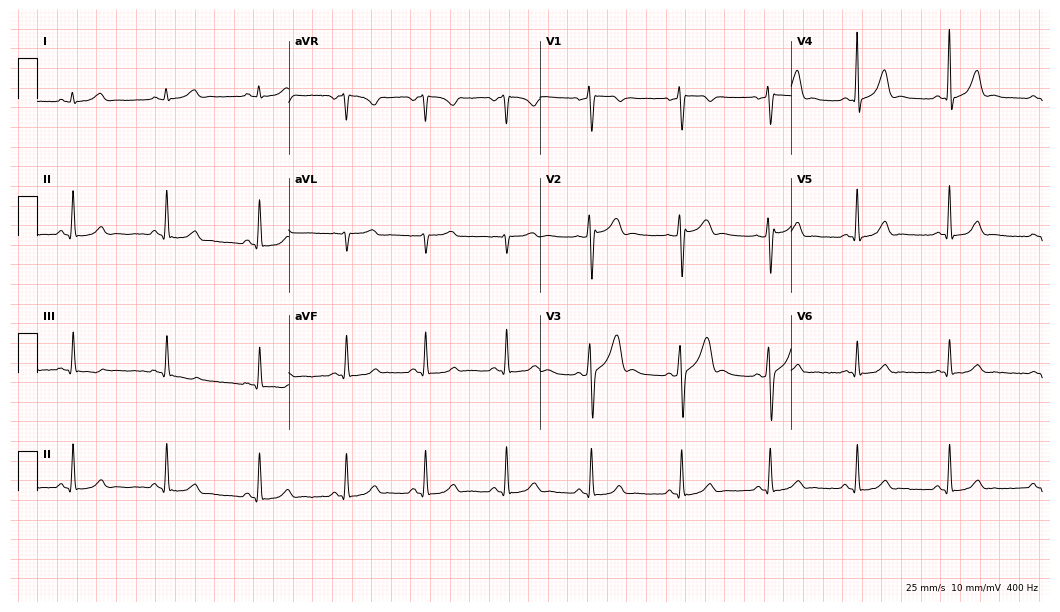
Standard 12-lead ECG recorded from a 43-year-old male (10.2-second recording at 400 Hz). None of these six findings is recorded: first-degree AV block, right bundle branch block, left bundle branch block, sinus bradycardia, atrial fibrillation, sinus tachycardia.